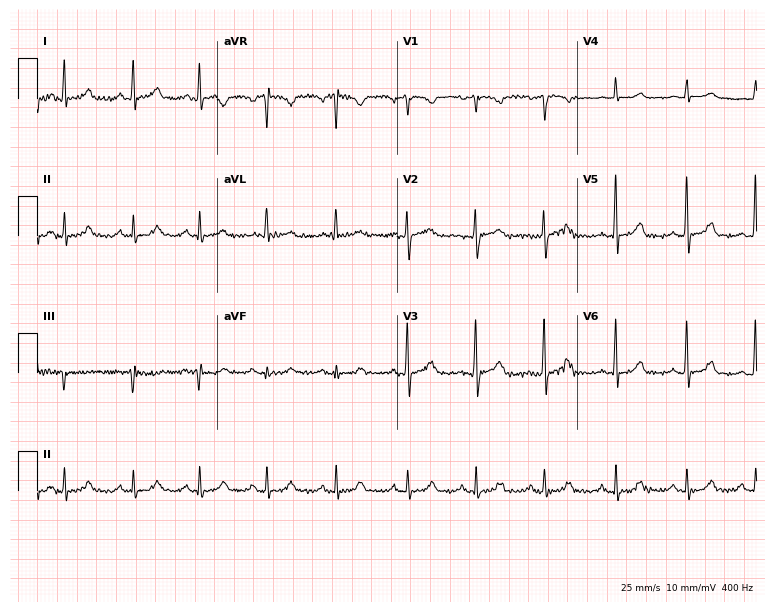
12-lead ECG (7.3-second recording at 400 Hz) from a female patient, 54 years old. Screened for six findings — first-degree AV block, right bundle branch block, left bundle branch block, sinus bradycardia, atrial fibrillation, sinus tachycardia — none is recorded. Other findings, if any, are not listed.